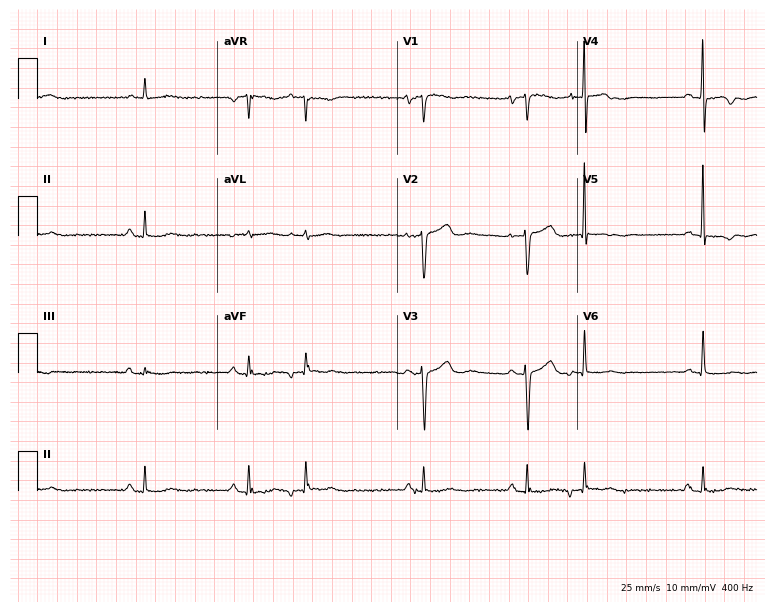
ECG — an 83-year-old male patient. Screened for six findings — first-degree AV block, right bundle branch block, left bundle branch block, sinus bradycardia, atrial fibrillation, sinus tachycardia — none is recorded.